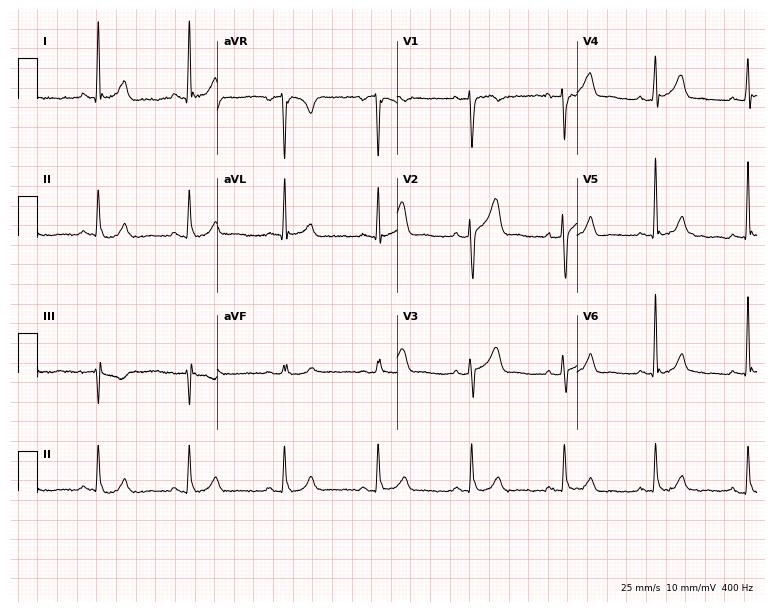
Standard 12-lead ECG recorded from a male patient, 64 years old (7.3-second recording at 400 Hz). Read as a normal ECG.